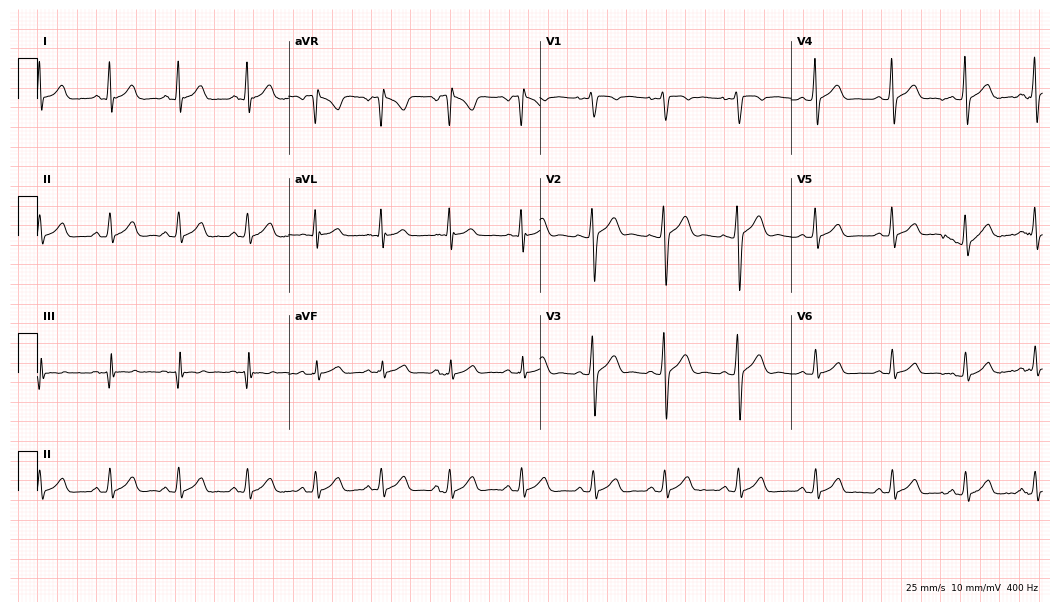
Standard 12-lead ECG recorded from a 21-year-old male. Read as a normal ECG.